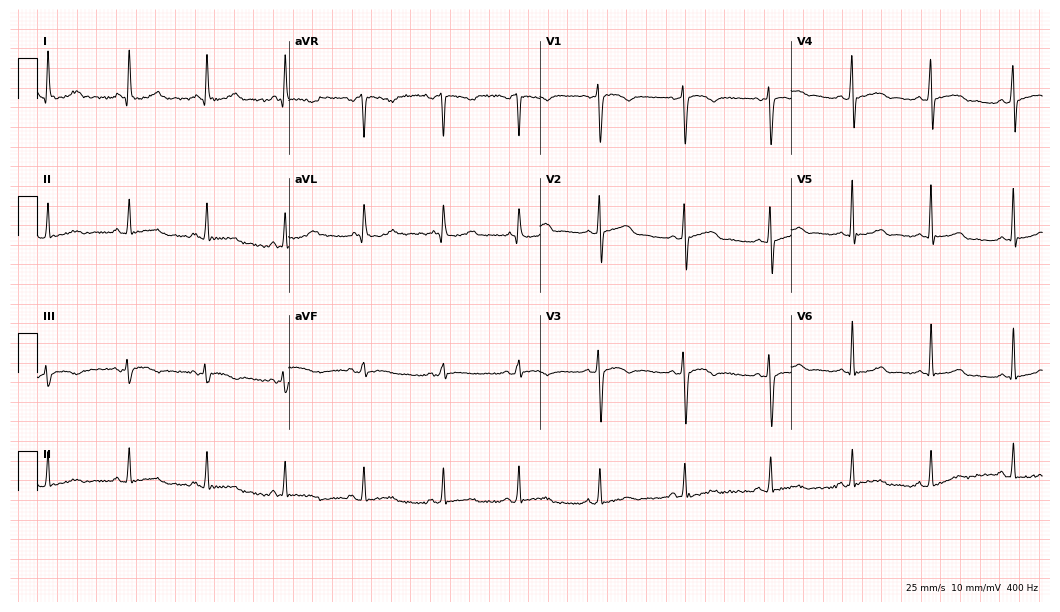
Standard 12-lead ECG recorded from a 52-year-old woman. None of these six findings is recorded: first-degree AV block, right bundle branch block, left bundle branch block, sinus bradycardia, atrial fibrillation, sinus tachycardia.